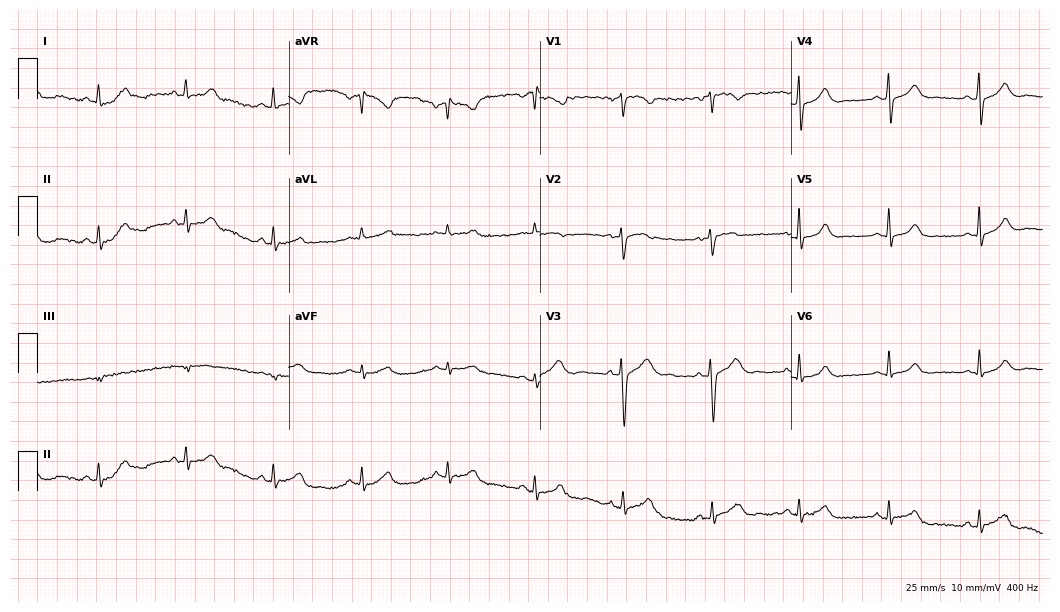
Electrocardiogram, a woman, 27 years old. Of the six screened findings (first-degree AV block, right bundle branch block, left bundle branch block, sinus bradycardia, atrial fibrillation, sinus tachycardia), none is recorded. Findings outside these six are not listed.